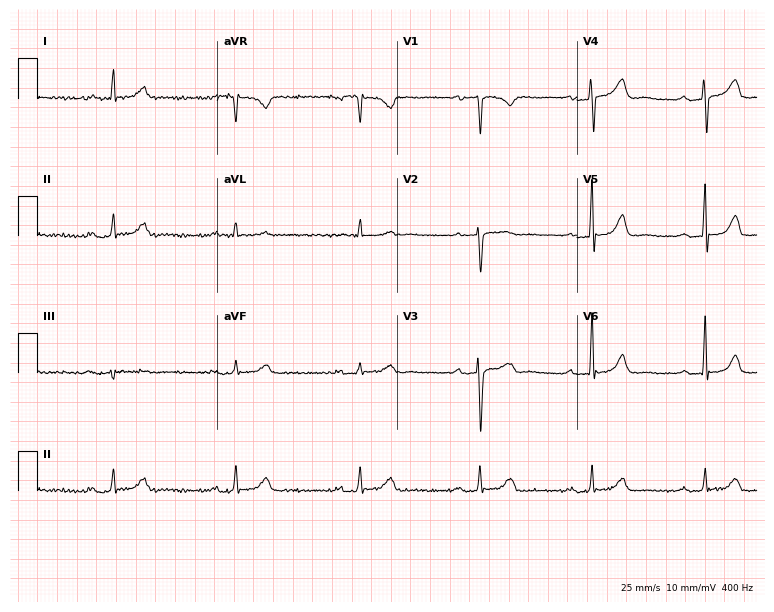
Resting 12-lead electrocardiogram. Patient: a 73-year-old woman. The tracing shows first-degree AV block, right bundle branch block, sinus bradycardia (a sinus rate of 50 beats per minute or less).